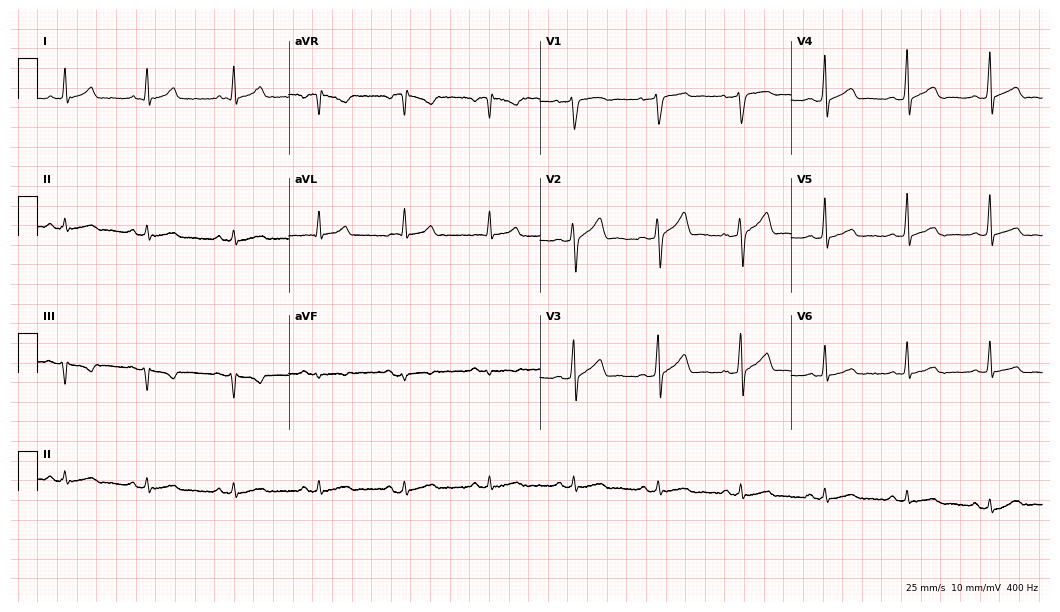
Resting 12-lead electrocardiogram (10.2-second recording at 400 Hz). Patient: a 49-year-old male. Read as a normal ECG.